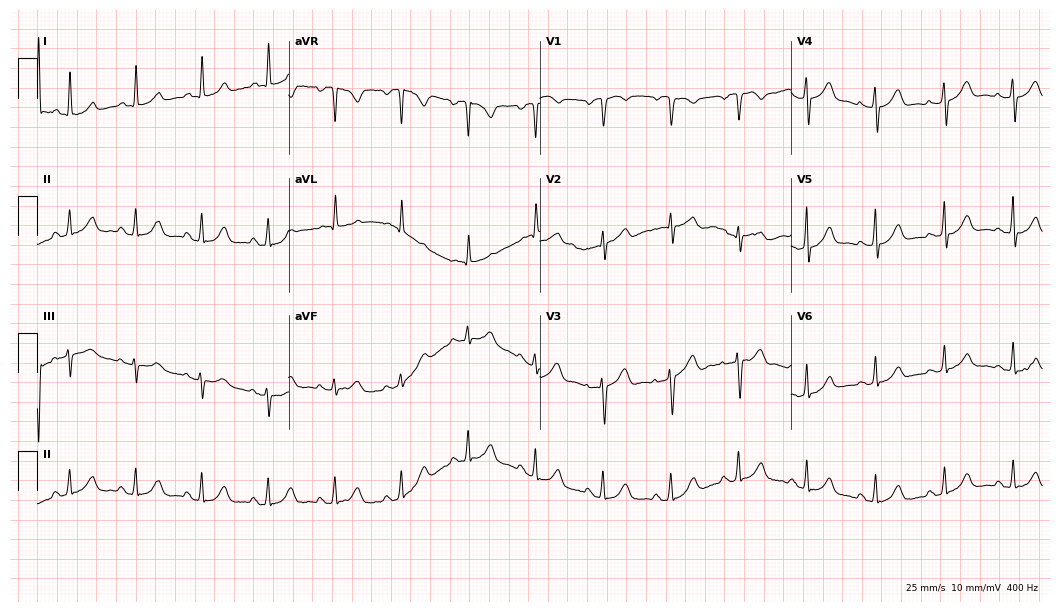
ECG (10.2-second recording at 400 Hz) — a woman, 57 years old. Screened for six findings — first-degree AV block, right bundle branch block (RBBB), left bundle branch block (LBBB), sinus bradycardia, atrial fibrillation (AF), sinus tachycardia — none is recorded.